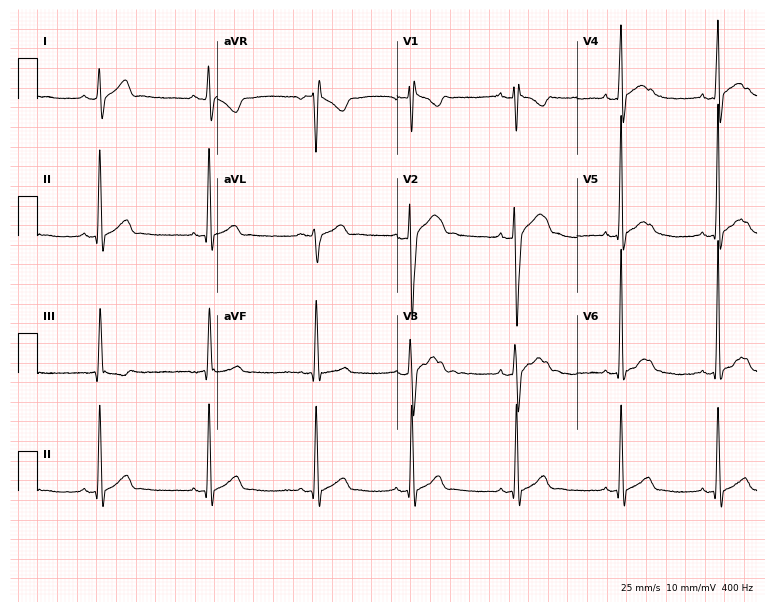
ECG (7.3-second recording at 400 Hz) — a male, 21 years old. Screened for six findings — first-degree AV block, right bundle branch block, left bundle branch block, sinus bradycardia, atrial fibrillation, sinus tachycardia — none is recorded.